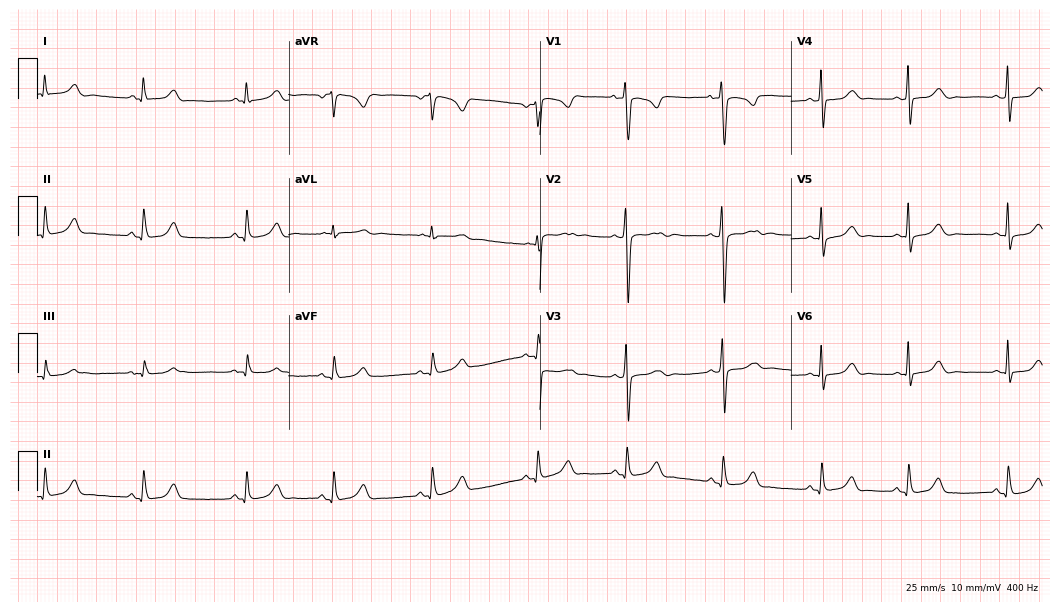
Resting 12-lead electrocardiogram (10.2-second recording at 400 Hz). Patient: a female, 20 years old. Read as a normal ECG.